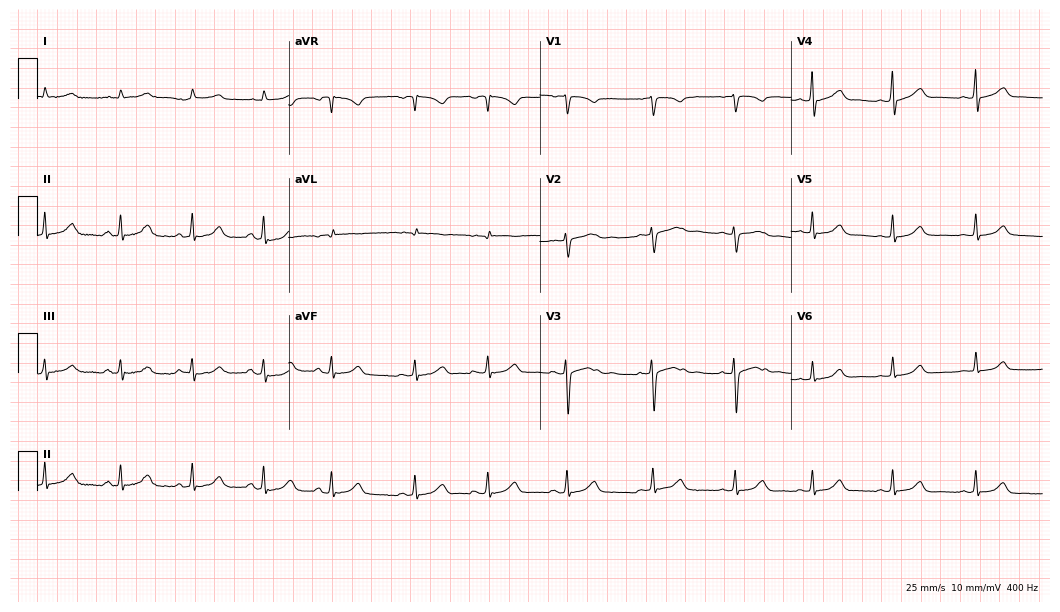
12-lead ECG (10.2-second recording at 400 Hz) from a female patient, 19 years old. Labelled as a normal ECG.